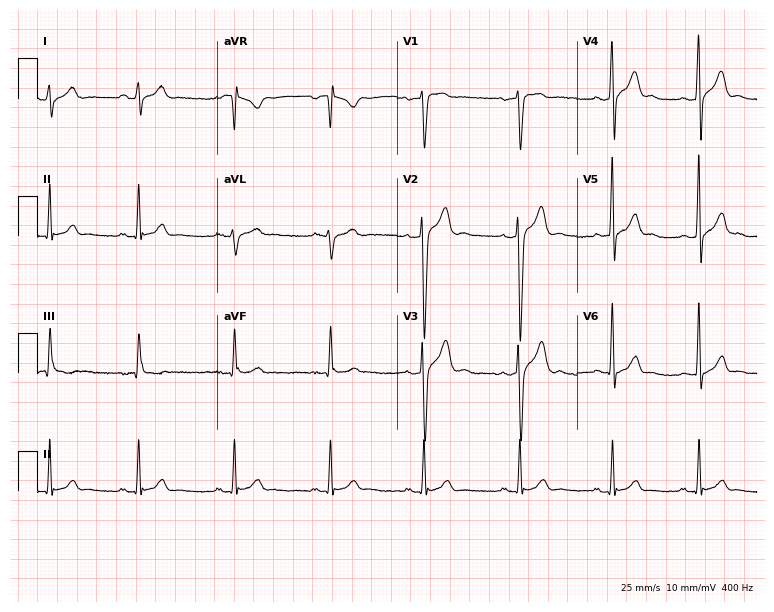
ECG — a 25-year-old man. Labelled as a normal ECG.